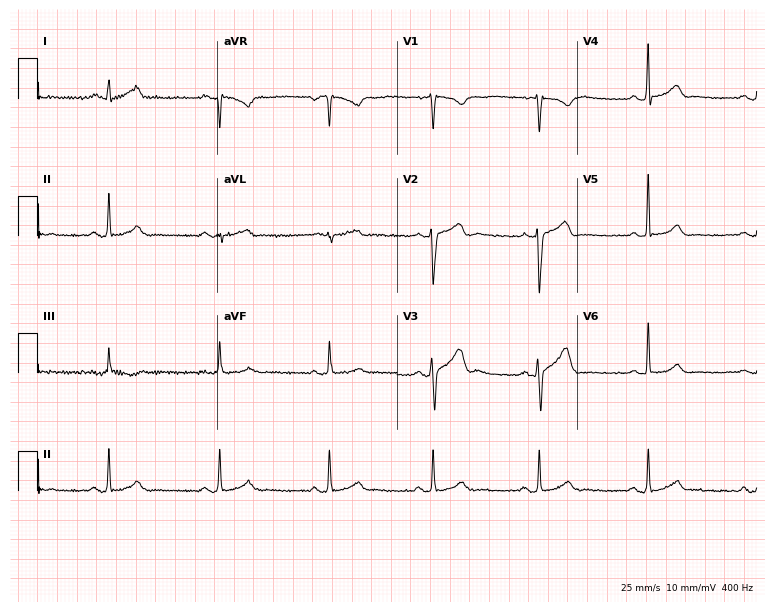
Standard 12-lead ECG recorded from a 38-year-old male patient. None of these six findings is recorded: first-degree AV block, right bundle branch block, left bundle branch block, sinus bradycardia, atrial fibrillation, sinus tachycardia.